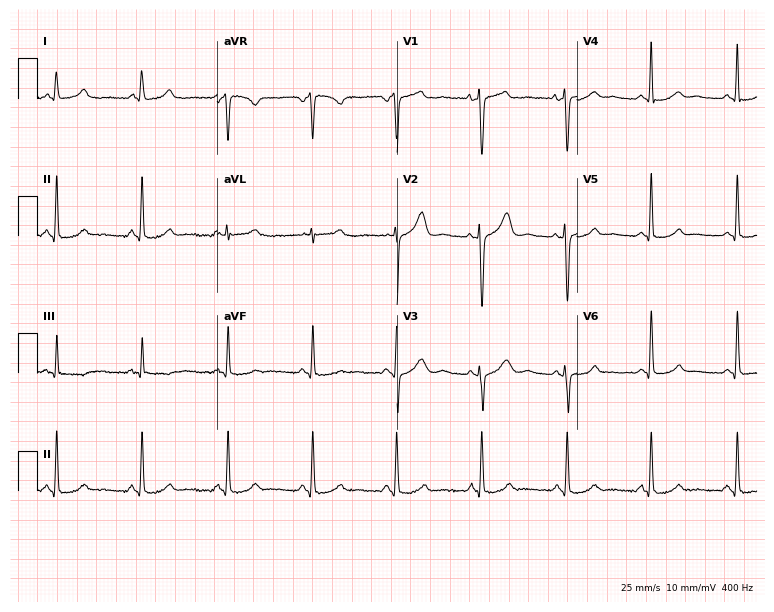
Standard 12-lead ECG recorded from a 31-year-old female patient (7.3-second recording at 400 Hz). Read as a normal ECG.